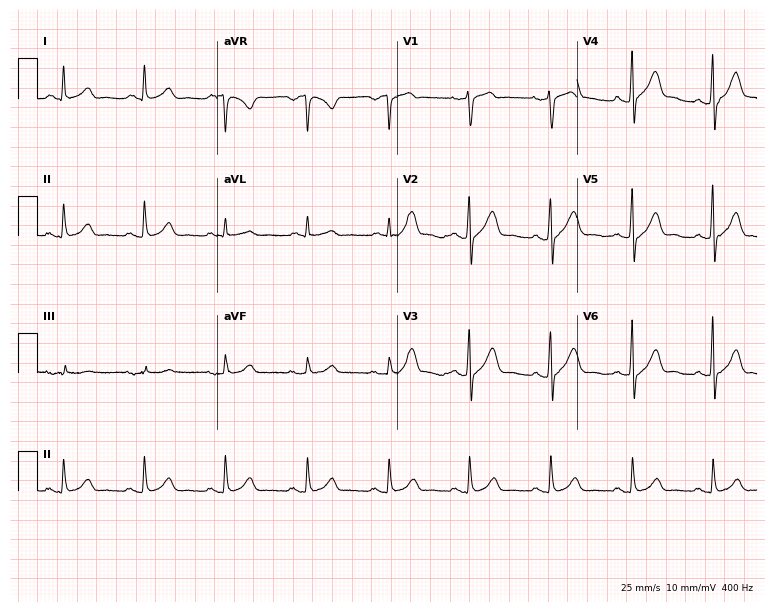
Standard 12-lead ECG recorded from a male patient, 45 years old. Read as a normal ECG.